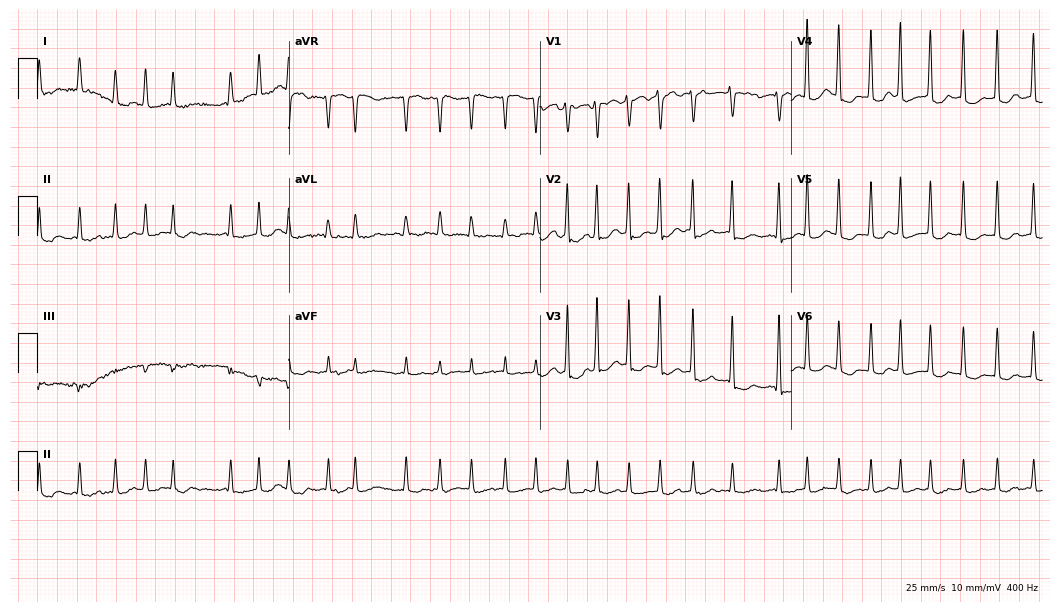
ECG — a 64-year-old female patient. Findings include atrial fibrillation.